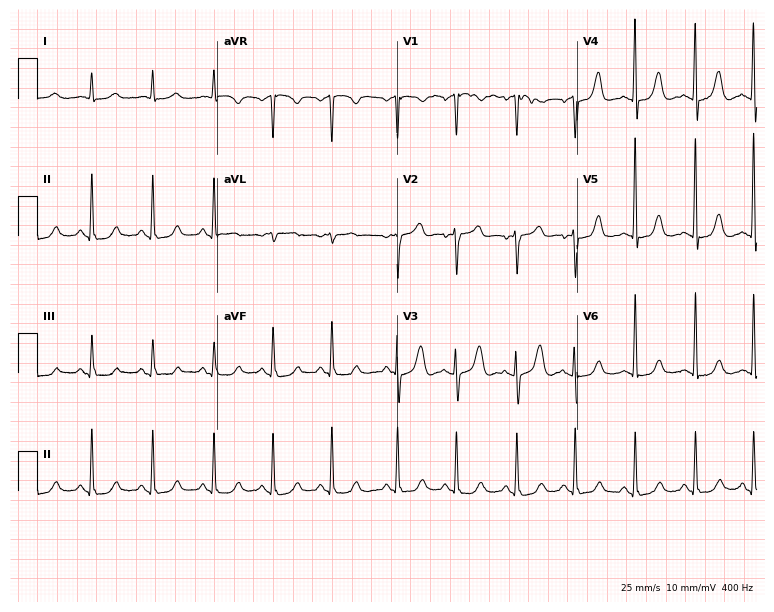
Resting 12-lead electrocardiogram. Patient: a female, 78 years old. None of these six findings is recorded: first-degree AV block, right bundle branch block (RBBB), left bundle branch block (LBBB), sinus bradycardia, atrial fibrillation (AF), sinus tachycardia. Findings outside these six are not listed.